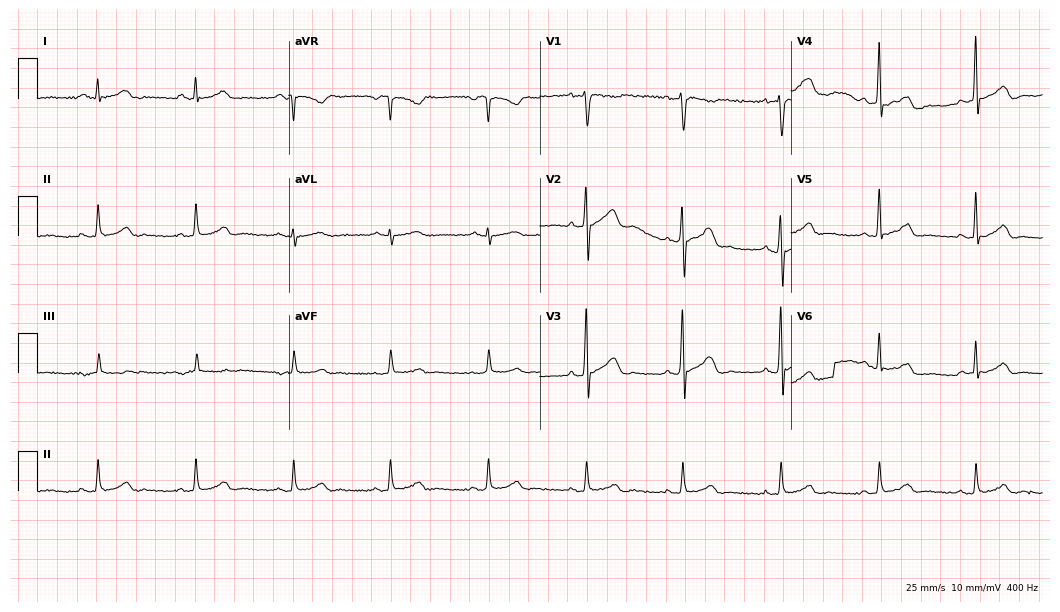
Electrocardiogram (10.2-second recording at 400 Hz), a 45-year-old male patient. Overall reading on record: normal ECG.